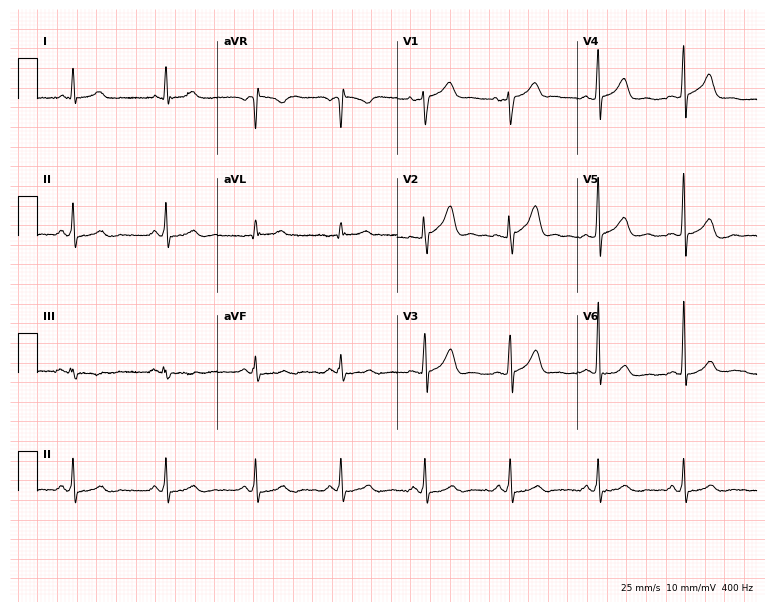
Electrocardiogram (7.3-second recording at 400 Hz), a man, 55 years old. Overall reading on record: normal ECG.